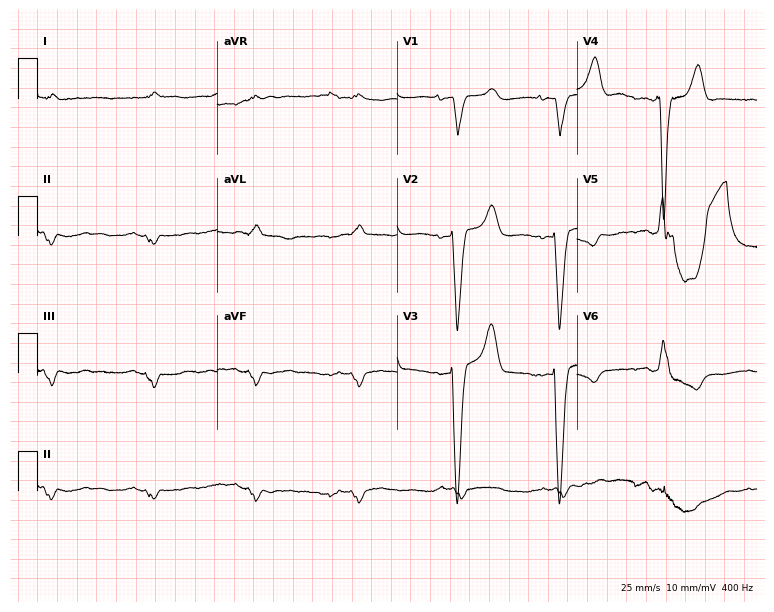
Electrocardiogram (7.3-second recording at 400 Hz), a 65-year-old male patient. Of the six screened findings (first-degree AV block, right bundle branch block, left bundle branch block, sinus bradycardia, atrial fibrillation, sinus tachycardia), none is recorded.